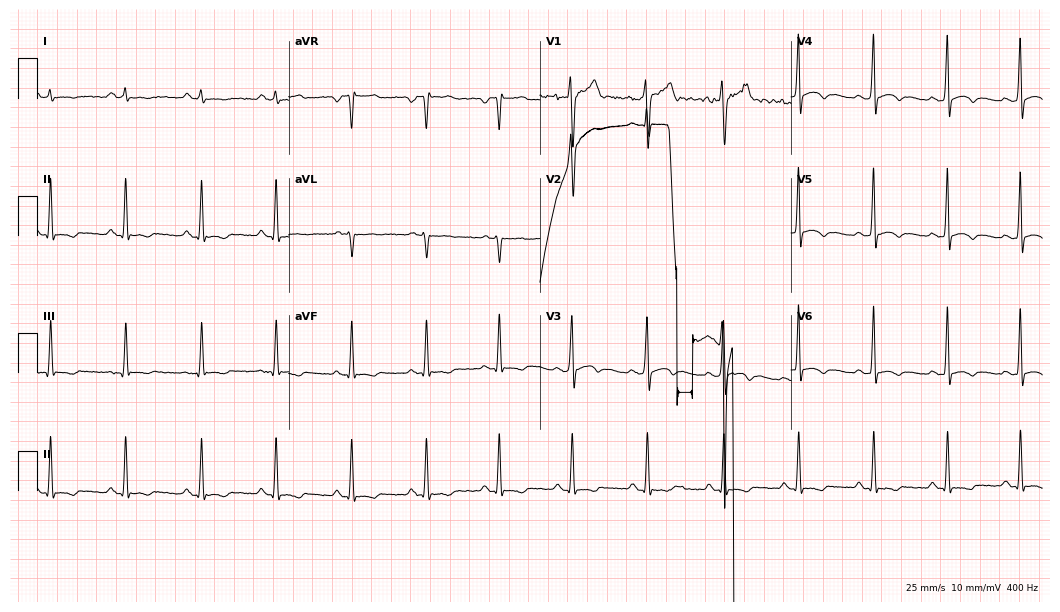
Electrocardiogram (10.2-second recording at 400 Hz), a 22-year-old man. Of the six screened findings (first-degree AV block, right bundle branch block, left bundle branch block, sinus bradycardia, atrial fibrillation, sinus tachycardia), none is recorded.